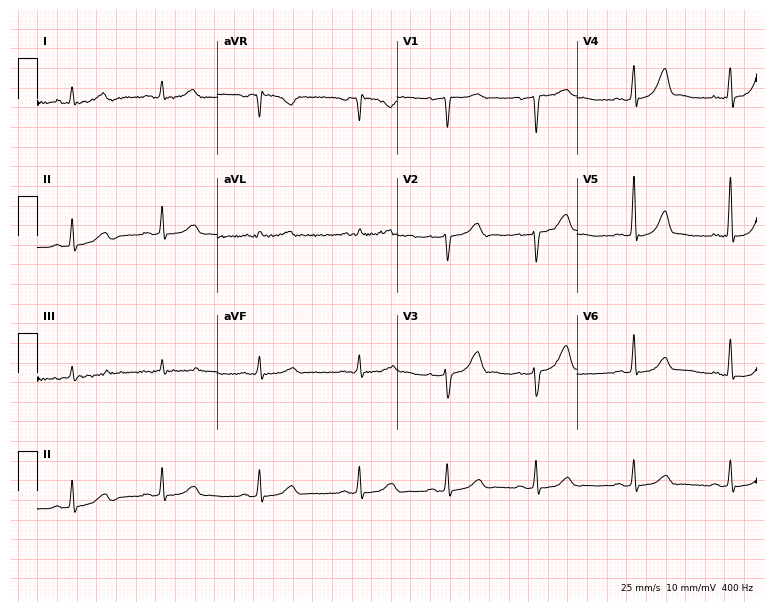
Resting 12-lead electrocardiogram. Patient: a female, 48 years old. None of these six findings is recorded: first-degree AV block, right bundle branch block, left bundle branch block, sinus bradycardia, atrial fibrillation, sinus tachycardia. Other findings, if any, are not listed.